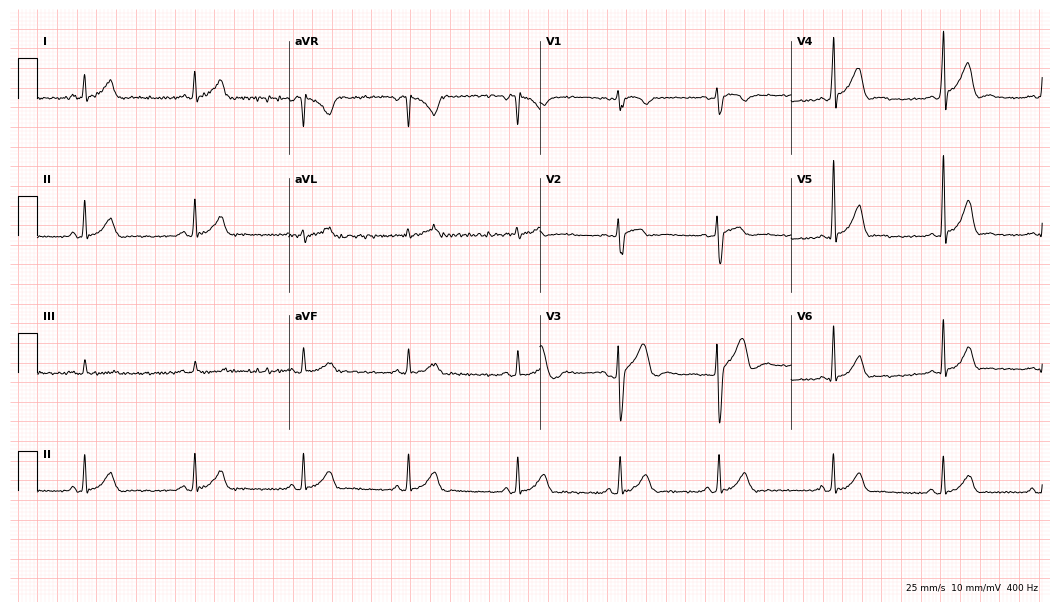
Resting 12-lead electrocardiogram (10.2-second recording at 400 Hz). Patient: a male, 26 years old. Read as a normal ECG.